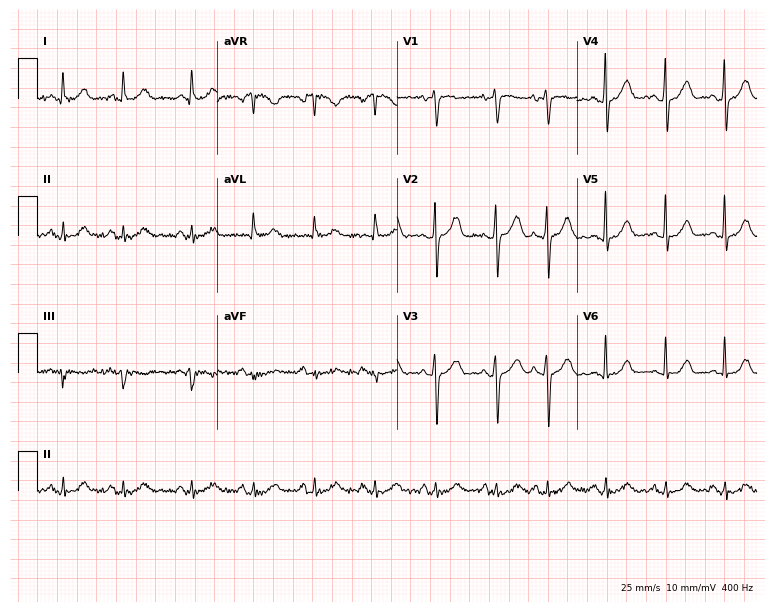
Standard 12-lead ECG recorded from a man, 77 years old (7.3-second recording at 400 Hz). Read as a normal ECG.